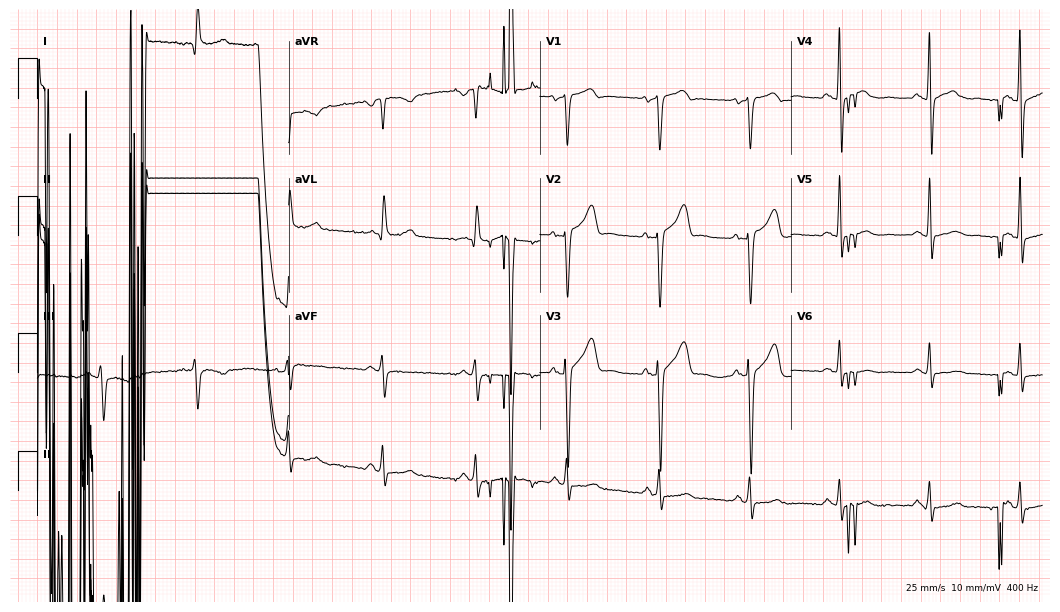
Resting 12-lead electrocardiogram (10.2-second recording at 400 Hz). Patient: a 52-year-old male. None of these six findings is recorded: first-degree AV block, right bundle branch block, left bundle branch block, sinus bradycardia, atrial fibrillation, sinus tachycardia.